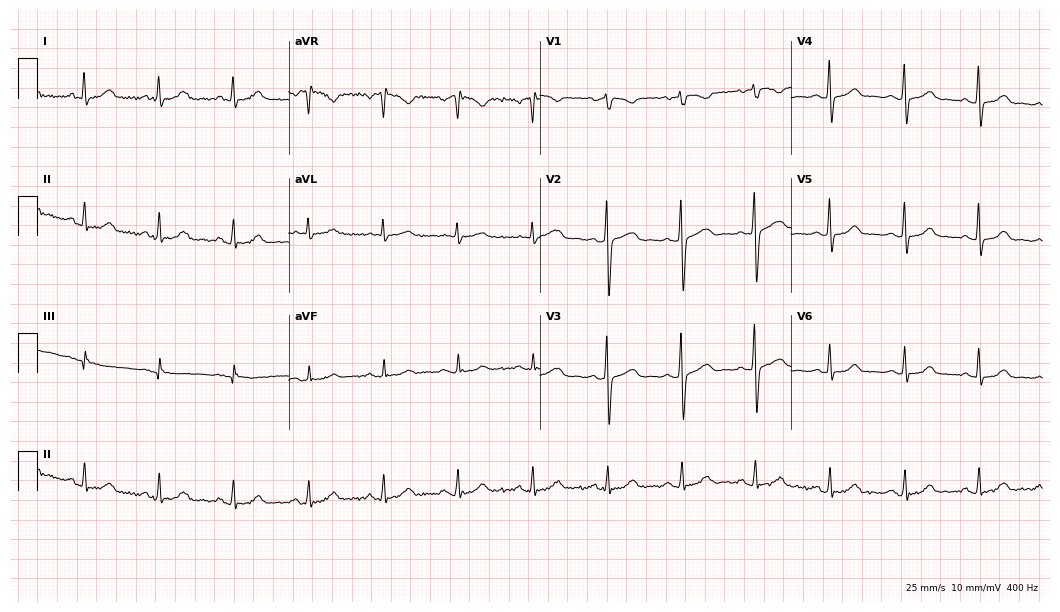
12-lead ECG (10.2-second recording at 400 Hz) from a female patient, 64 years old. Screened for six findings — first-degree AV block, right bundle branch block, left bundle branch block, sinus bradycardia, atrial fibrillation, sinus tachycardia — none is recorded. Findings outside these six are not listed.